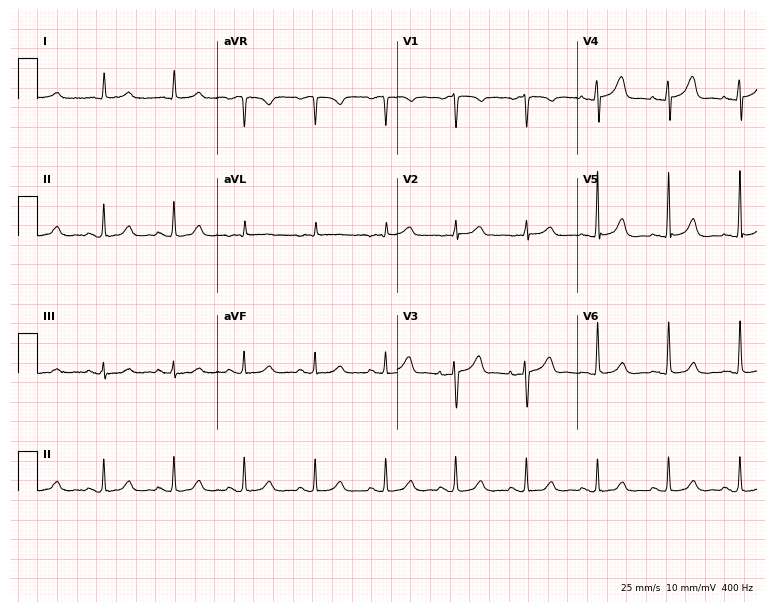
Electrocardiogram (7.3-second recording at 400 Hz), an 84-year-old man. Overall reading on record: normal ECG.